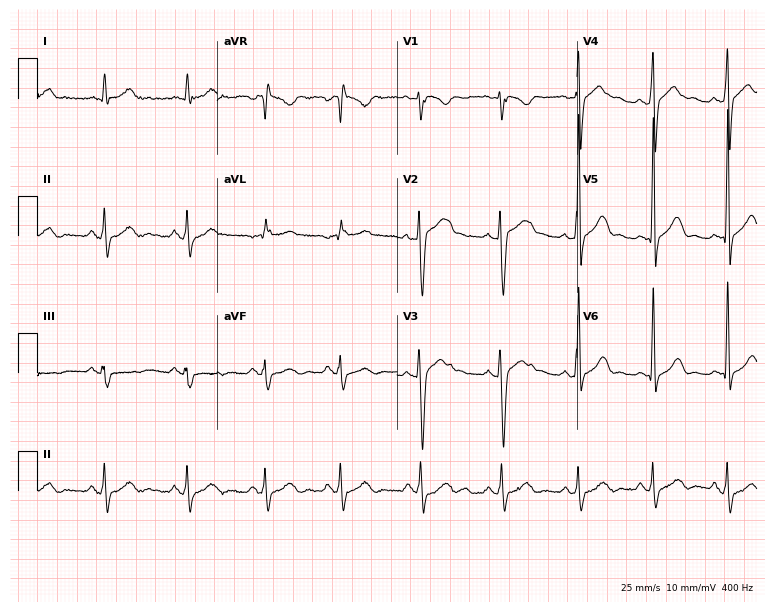
Resting 12-lead electrocardiogram. Patient: a 40-year-old male. None of these six findings is recorded: first-degree AV block, right bundle branch block, left bundle branch block, sinus bradycardia, atrial fibrillation, sinus tachycardia.